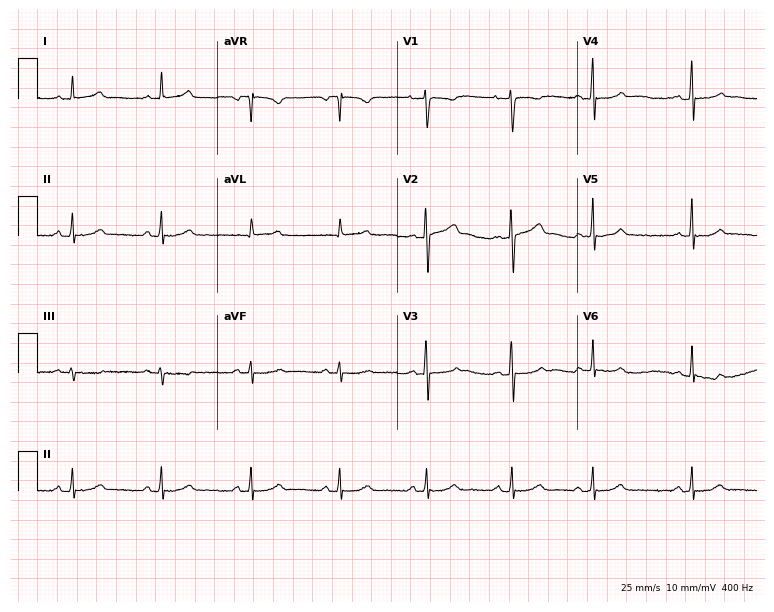
12-lead ECG from a female, 33 years old. No first-degree AV block, right bundle branch block (RBBB), left bundle branch block (LBBB), sinus bradycardia, atrial fibrillation (AF) or sinus tachycardia recorded for this tracing. Other findings, if any, are not listed.